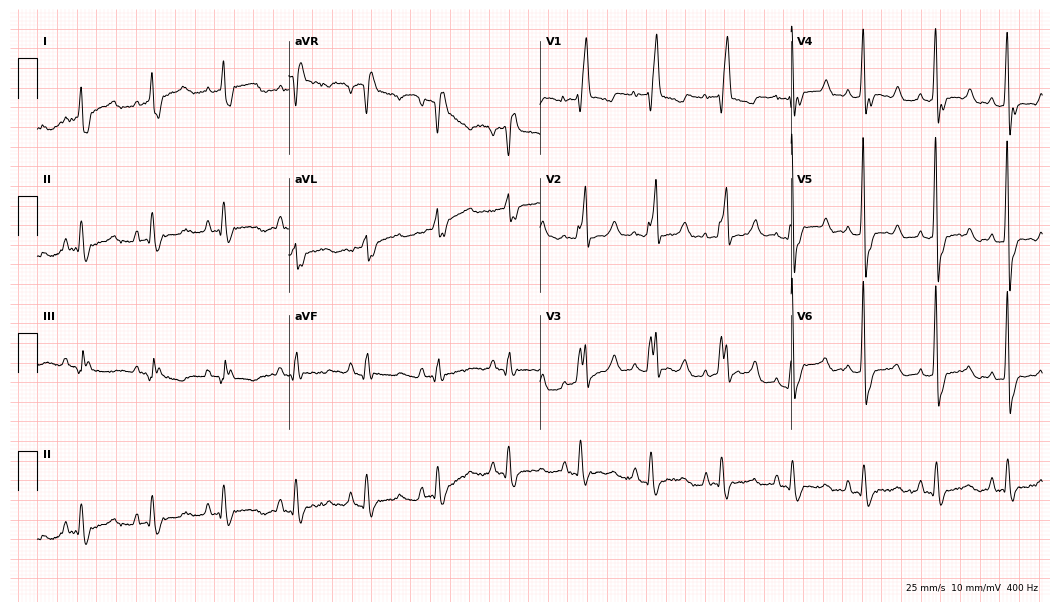
Resting 12-lead electrocardiogram. Patient: a man, 50 years old. The tracing shows right bundle branch block.